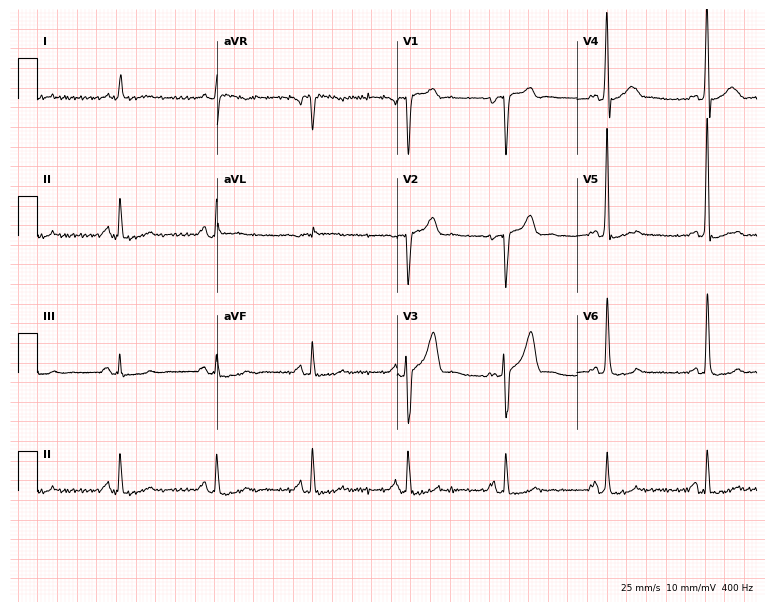
12-lead ECG (7.3-second recording at 400 Hz) from a male, 64 years old. Screened for six findings — first-degree AV block, right bundle branch block, left bundle branch block, sinus bradycardia, atrial fibrillation, sinus tachycardia — none is recorded.